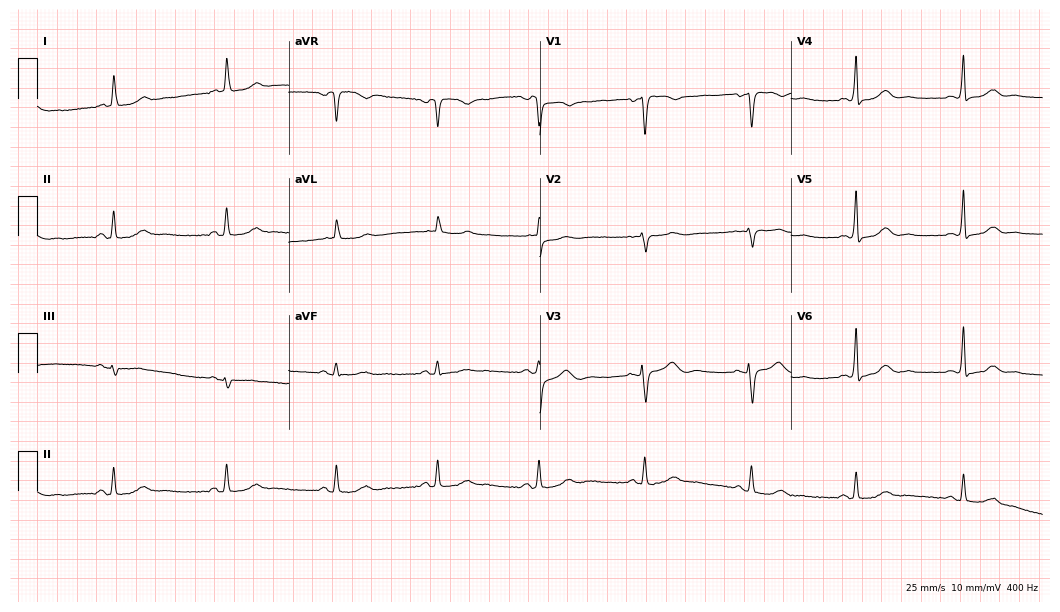
Resting 12-lead electrocardiogram (10.2-second recording at 400 Hz). Patient: a female, 59 years old. None of these six findings is recorded: first-degree AV block, right bundle branch block (RBBB), left bundle branch block (LBBB), sinus bradycardia, atrial fibrillation (AF), sinus tachycardia. Other findings, if any, are not listed.